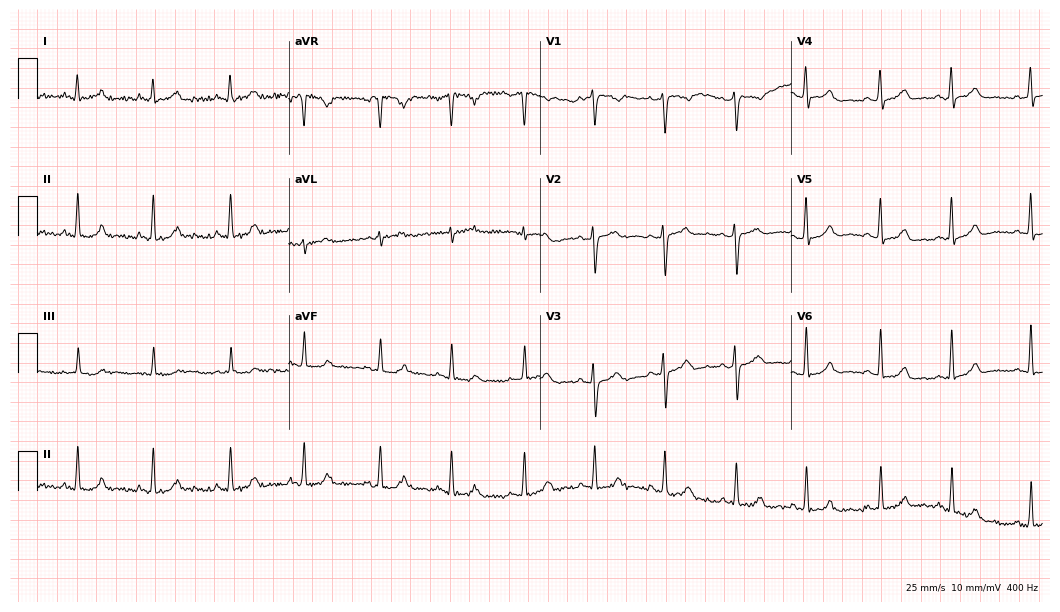
ECG (10.2-second recording at 400 Hz) — a female patient, 30 years old. Screened for six findings — first-degree AV block, right bundle branch block, left bundle branch block, sinus bradycardia, atrial fibrillation, sinus tachycardia — none is recorded. Findings outside these six are not listed.